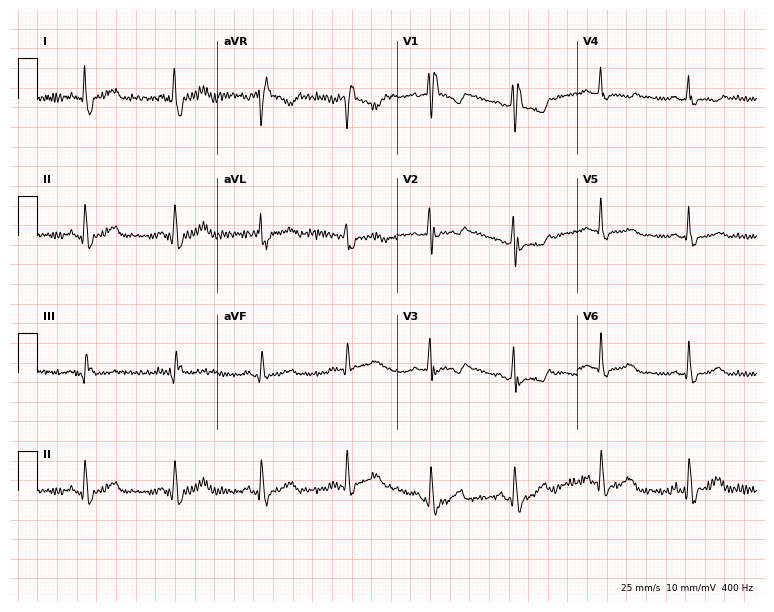
12-lead ECG (7.3-second recording at 400 Hz) from a woman, 31 years old. Screened for six findings — first-degree AV block, right bundle branch block (RBBB), left bundle branch block (LBBB), sinus bradycardia, atrial fibrillation (AF), sinus tachycardia — none is recorded.